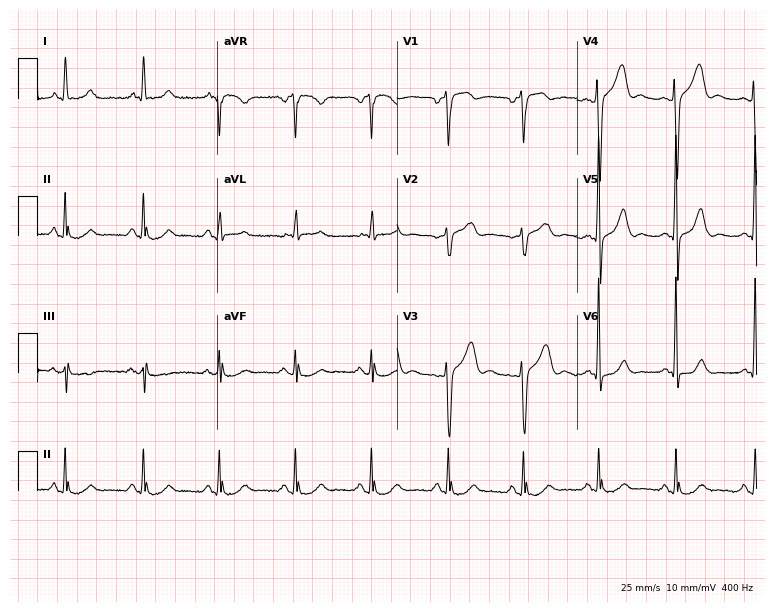
Electrocardiogram, a 71-year-old male. Of the six screened findings (first-degree AV block, right bundle branch block (RBBB), left bundle branch block (LBBB), sinus bradycardia, atrial fibrillation (AF), sinus tachycardia), none is recorded.